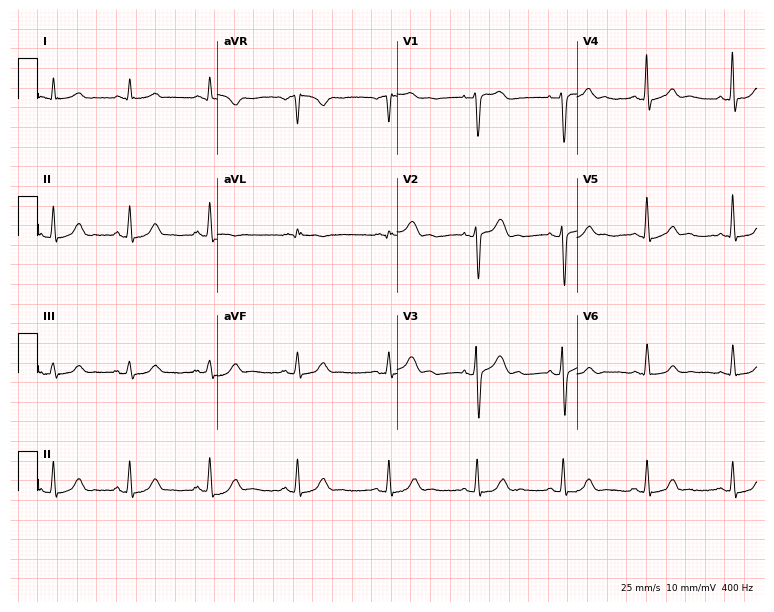
Electrocardiogram (7.3-second recording at 400 Hz), a male patient, 38 years old. Overall reading on record: normal ECG.